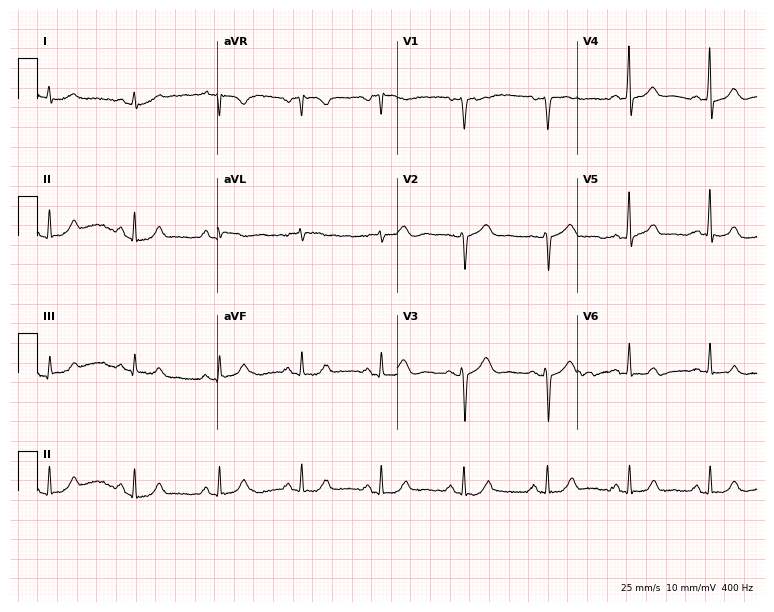
12-lead ECG from a 67-year-old female patient (7.3-second recording at 400 Hz). Recorded interpretation: within normal limits.